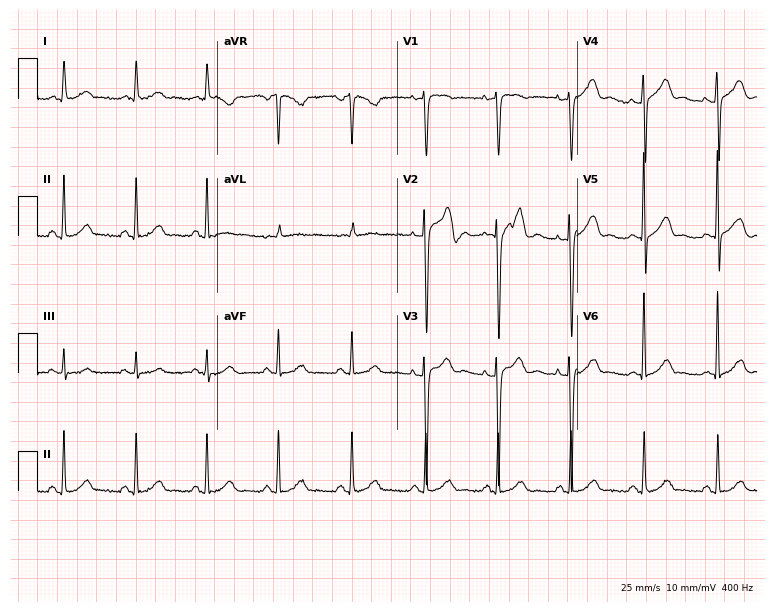
12-lead ECG from a woman, 57 years old. Recorded interpretation: within normal limits.